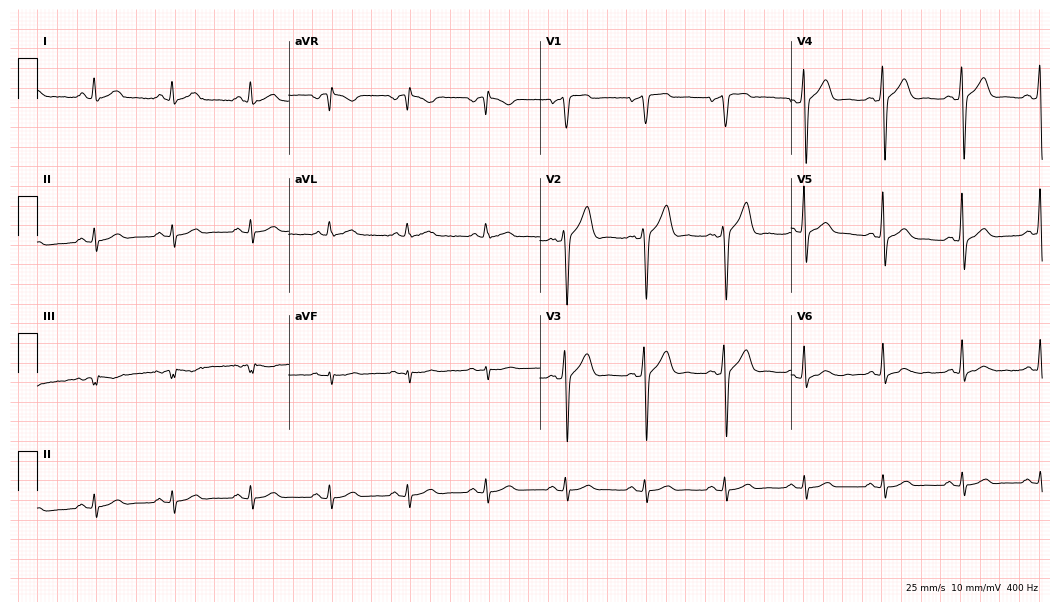
12-lead ECG from a 47-year-old male (10.2-second recording at 400 Hz). No first-degree AV block, right bundle branch block (RBBB), left bundle branch block (LBBB), sinus bradycardia, atrial fibrillation (AF) or sinus tachycardia recorded for this tracing. Findings outside these six are not listed.